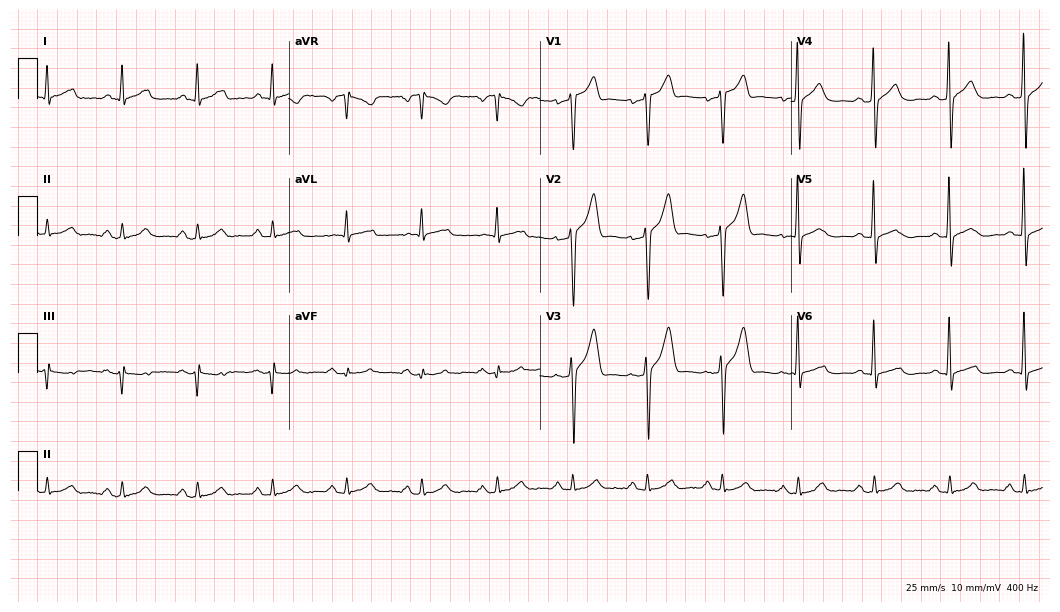
12-lead ECG from a male, 61 years old. No first-degree AV block, right bundle branch block, left bundle branch block, sinus bradycardia, atrial fibrillation or sinus tachycardia recorded for this tracing. Only these six findings were labelled.